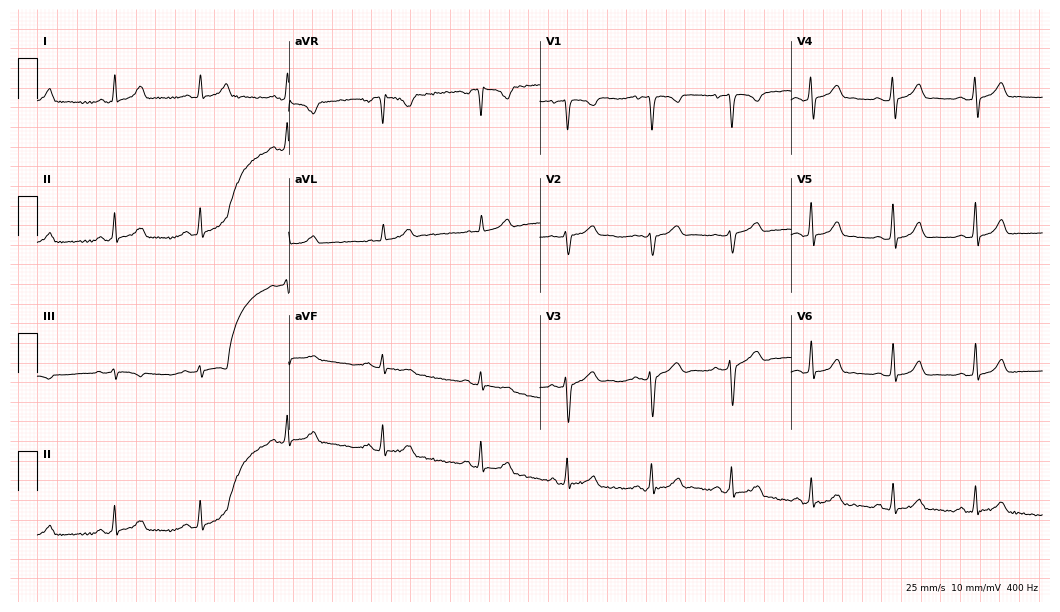
Resting 12-lead electrocardiogram (10.2-second recording at 400 Hz). Patient: a 27-year-old female. Read as a normal ECG.